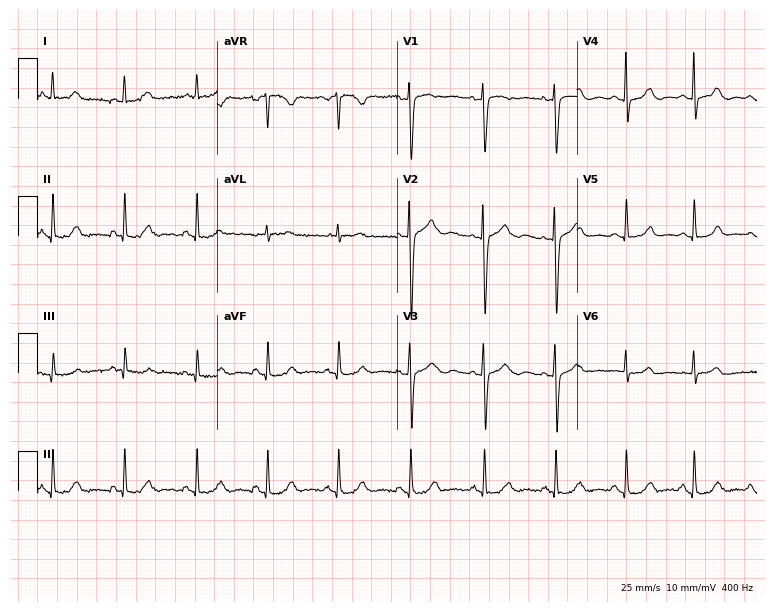
Standard 12-lead ECG recorded from a 36-year-old female. Read as a normal ECG.